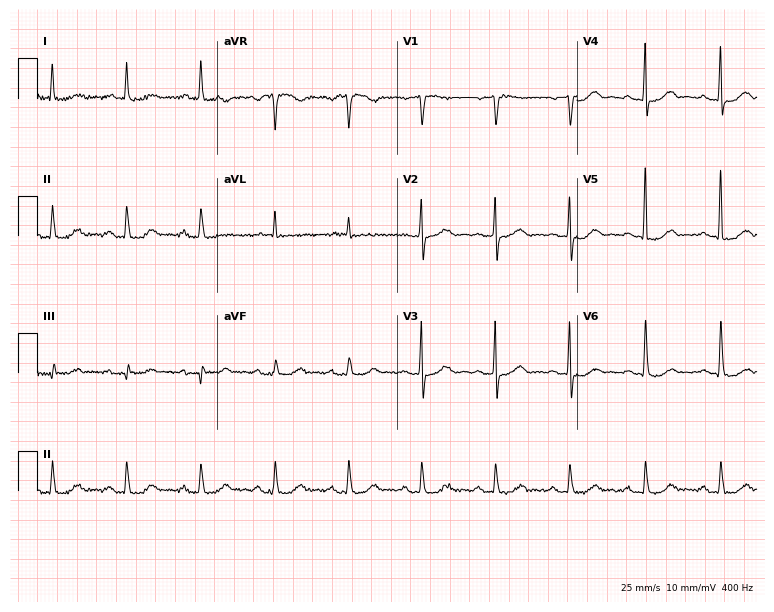
Electrocardiogram (7.3-second recording at 400 Hz), a woman, 80 years old. Of the six screened findings (first-degree AV block, right bundle branch block, left bundle branch block, sinus bradycardia, atrial fibrillation, sinus tachycardia), none is recorded. Findings outside these six are not listed.